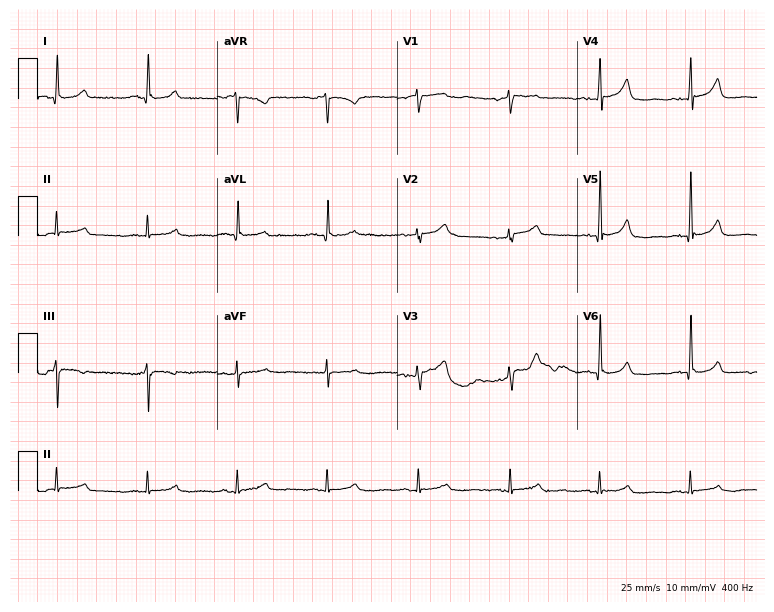
Standard 12-lead ECG recorded from an 82-year-old woman. None of these six findings is recorded: first-degree AV block, right bundle branch block (RBBB), left bundle branch block (LBBB), sinus bradycardia, atrial fibrillation (AF), sinus tachycardia.